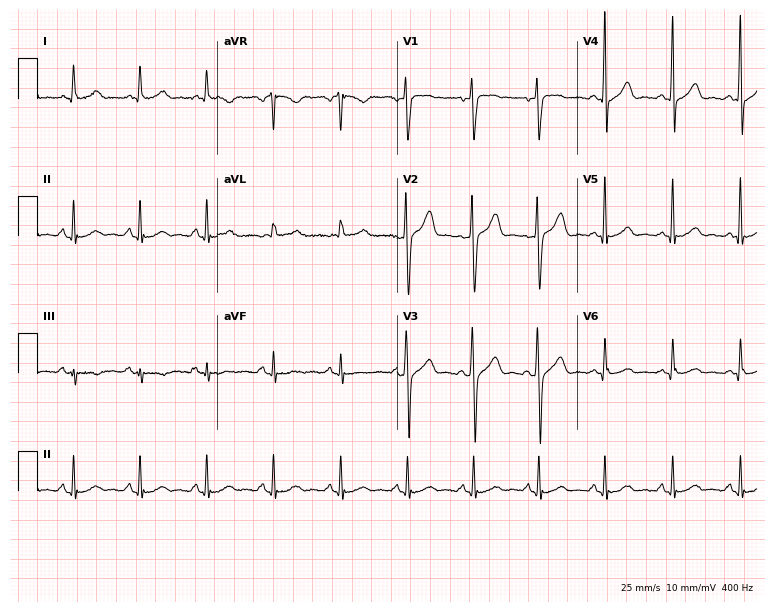
Electrocardiogram (7.3-second recording at 400 Hz), a male patient, 51 years old. Overall reading on record: normal ECG.